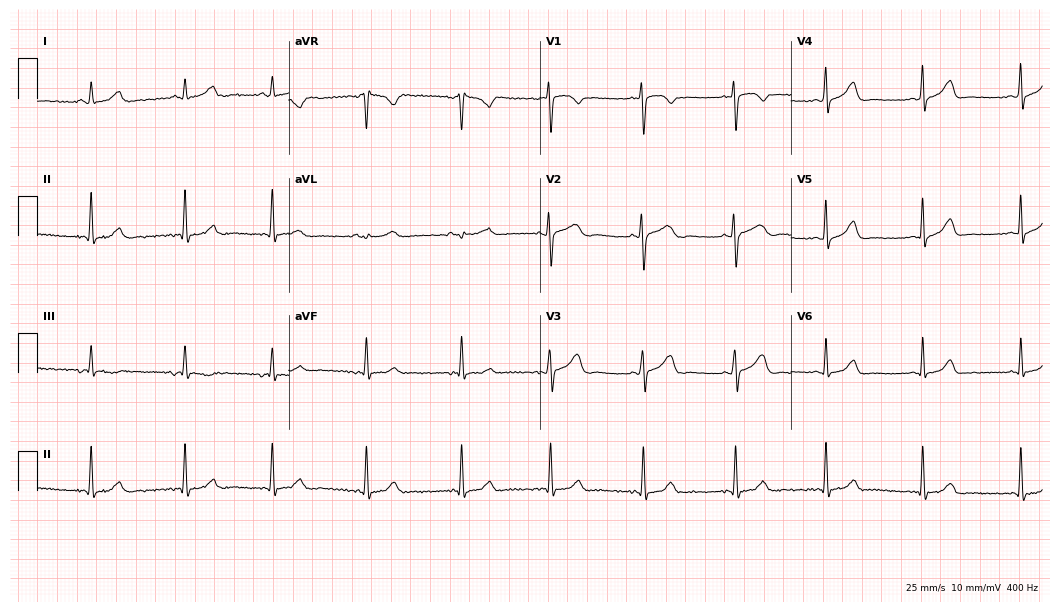
Resting 12-lead electrocardiogram. Patient: a 20-year-old woman. Read as a normal ECG.